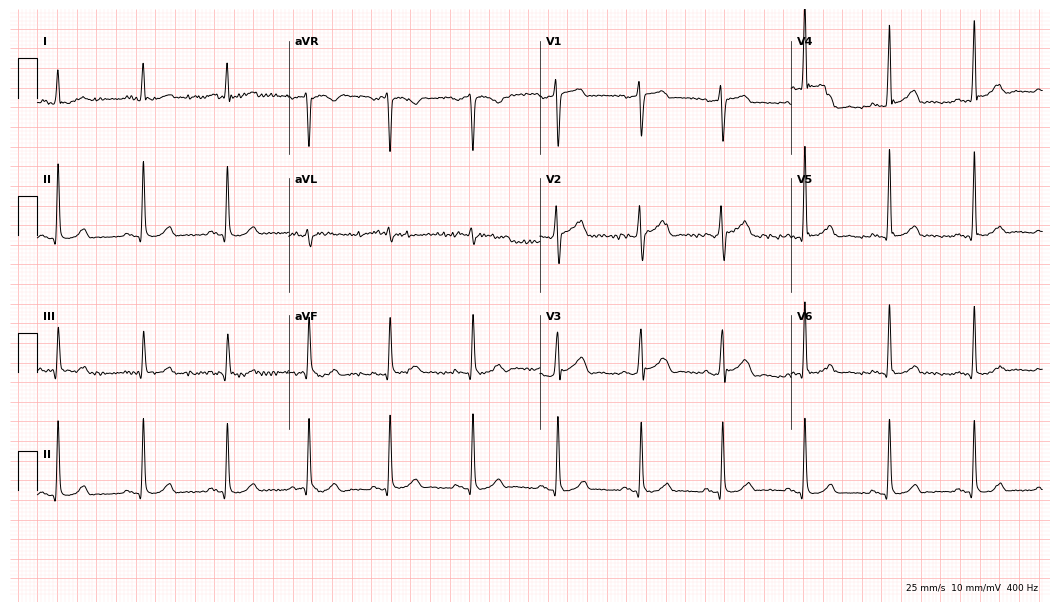
Standard 12-lead ECG recorded from a 60-year-old male. Read as a normal ECG.